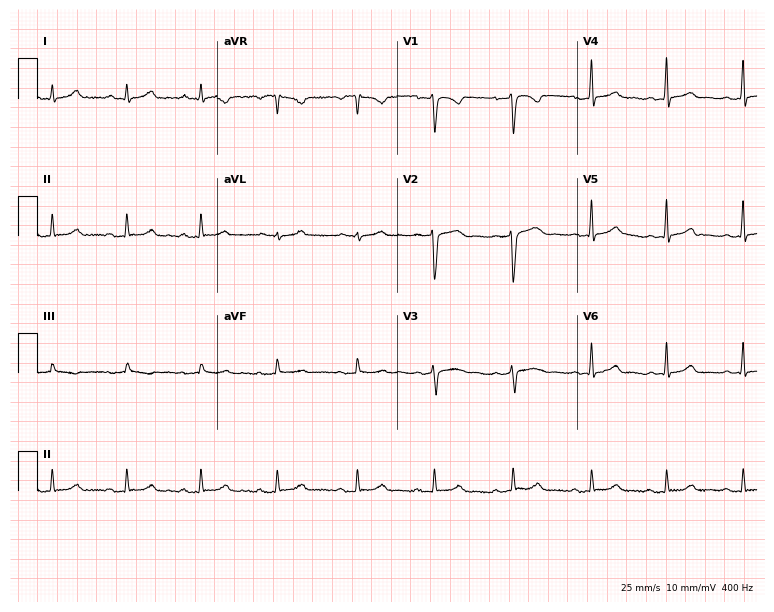
ECG (7.3-second recording at 400 Hz) — a female, 33 years old. Labelled as a normal ECG.